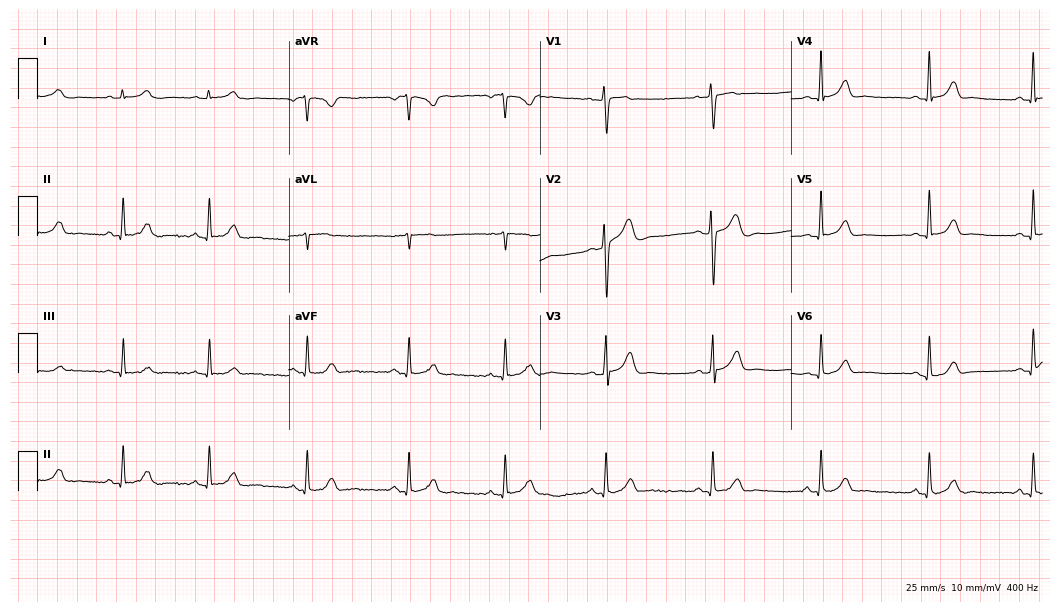
ECG (10.2-second recording at 400 Hz) — a 36-year-old female patient. Labelled as a normal ECG.